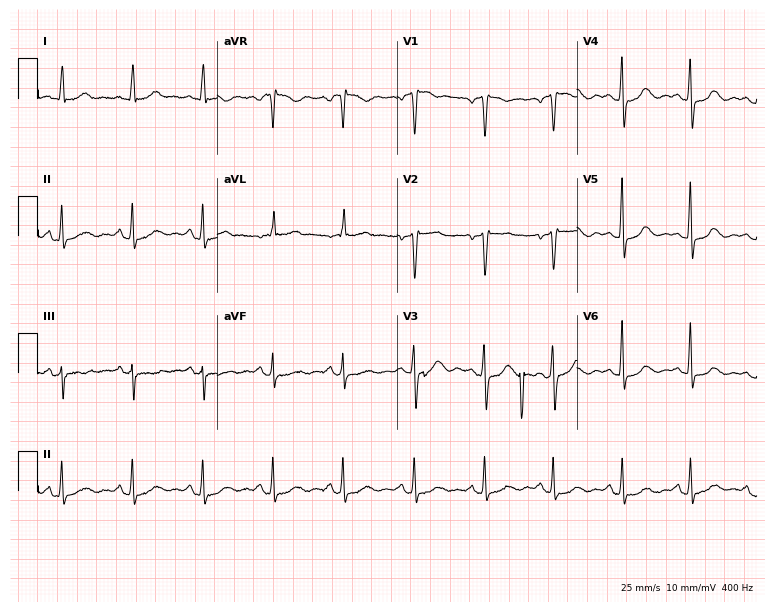
Electrocardiogram, a 64-year-old female. Overall reading on record: normal ECG.